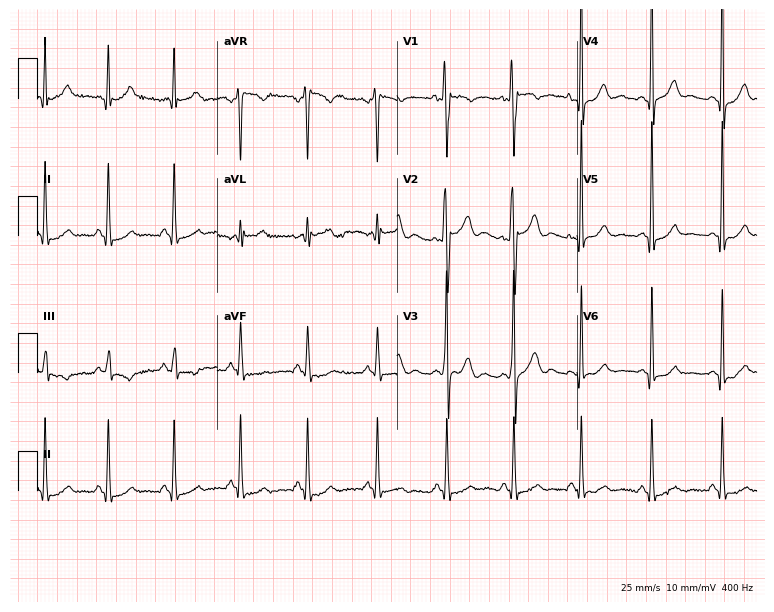
Resting 12-lead electrocardiogram. Patient: a male, 22 years old. Read as a normal ECG.